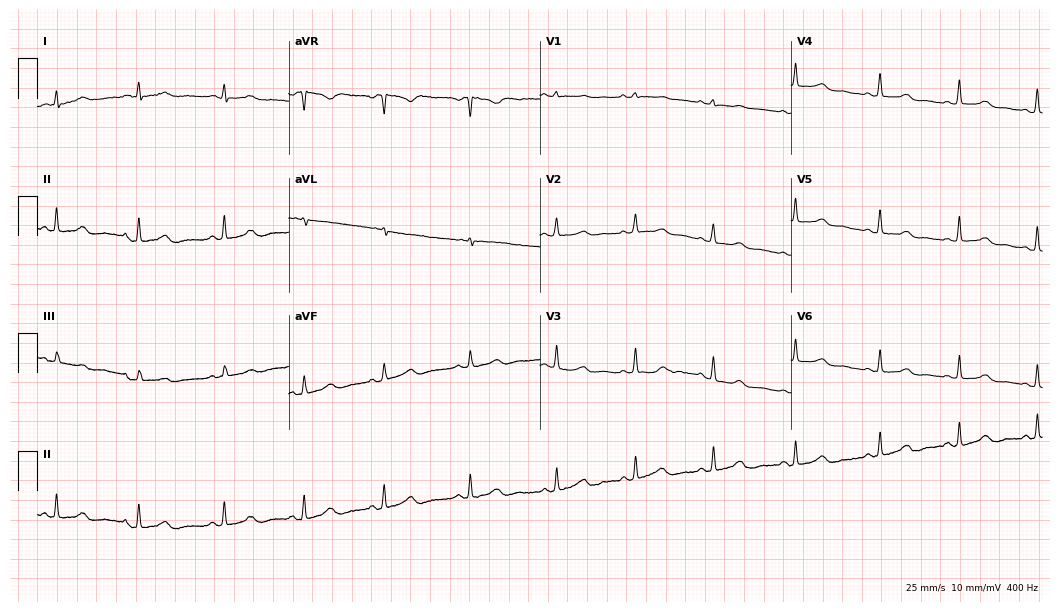
12-lead ECG (10.2-second recording at 400 Hz) from a woman, 38 years old. Screened for six findings — first-degree AV block, right bundle branch block, left bundle branch block, sinus bradycardia, atrial fibrillation, sinus tachycardia — none is recorded.